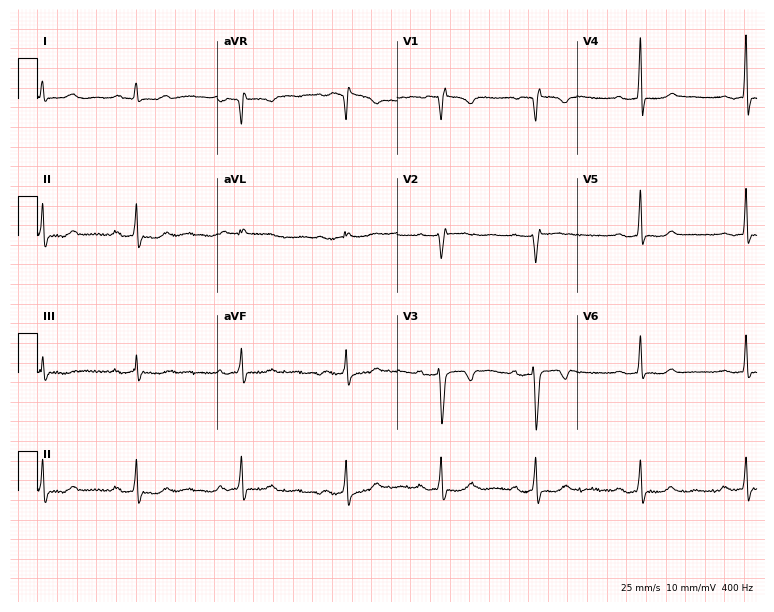
ECG — a 26-year-old female. Screened for six findings — first-degree AV block, right bundle branch block (RBBB), left bundle branch block (LBBB), sinus bradycardia, atrial fibrillation (AF), sinus tachycardia — none is recorded.